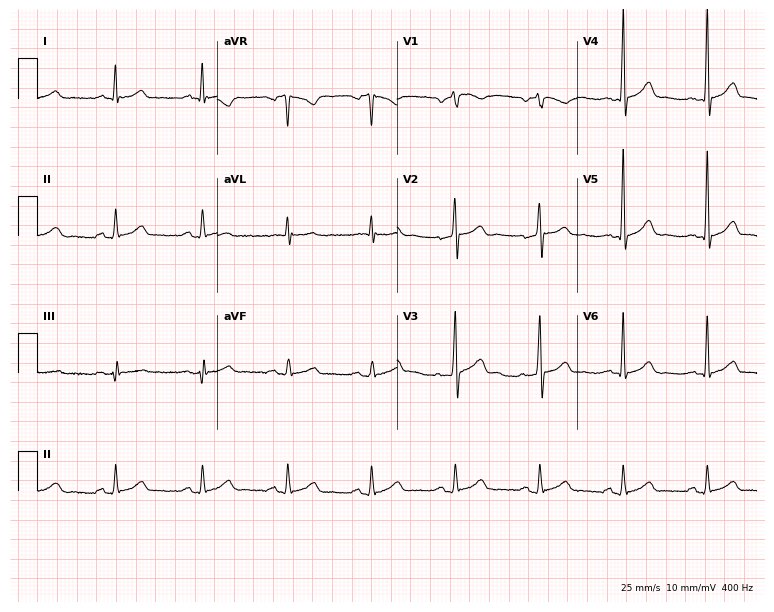
12-lead ECG from a 47-year-old male (7.3-second recording at 400 Hz). Recorded interpretation: within normal limits.